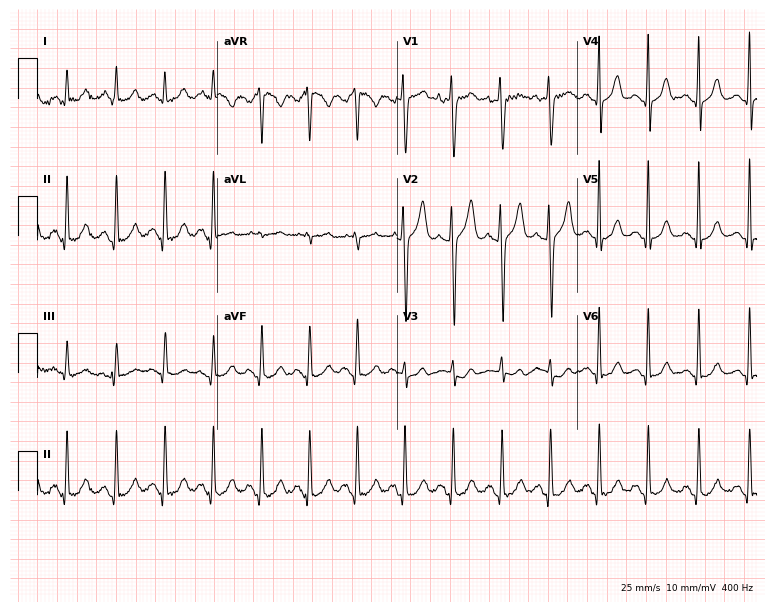
Resting 12-lead electrocardiogram (7.3-second recording at 400 Hz). Patient: a male, 27 years old. The tracing shows sinus tachycardia (a sinus rate of 100 beats per minute or more).